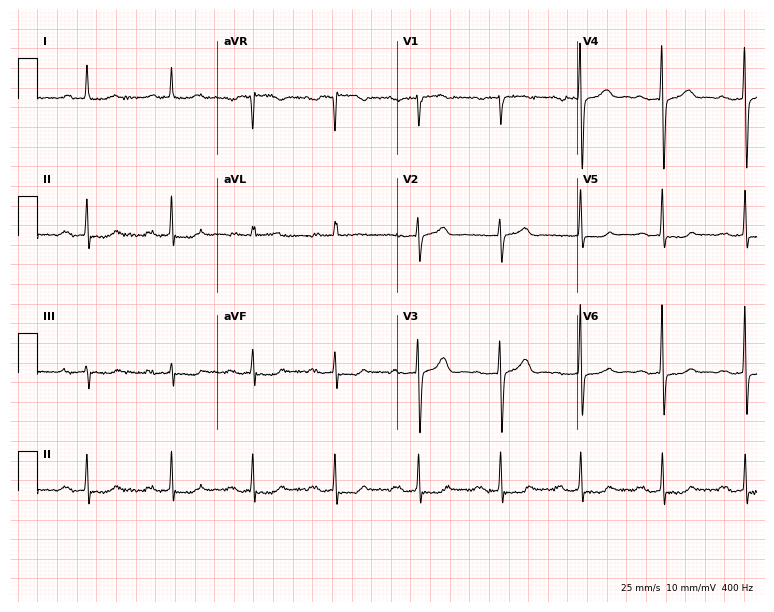
12-lead ECG (7.3-second recording at 400 Hz) from a female patient, 55 years old. Labelled as a normal ECG.